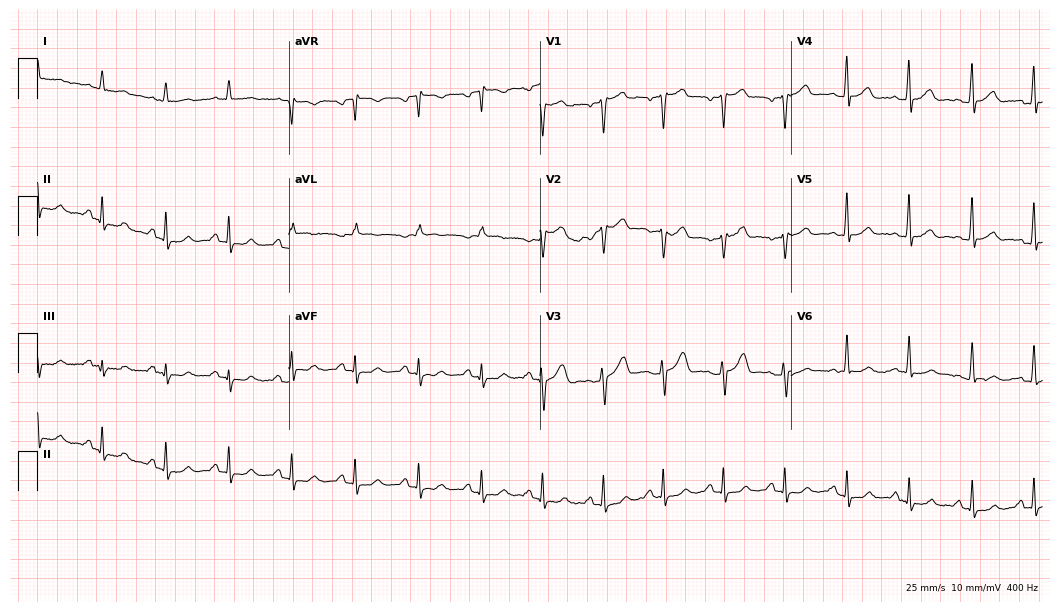
12-lead ECG from a male, 37 years old. No first-degree AV block, right bundle branch block, left bundle branch block, sinus bradycardia, atrial fibrillation or sinus tachycardia recorded for this tracing.